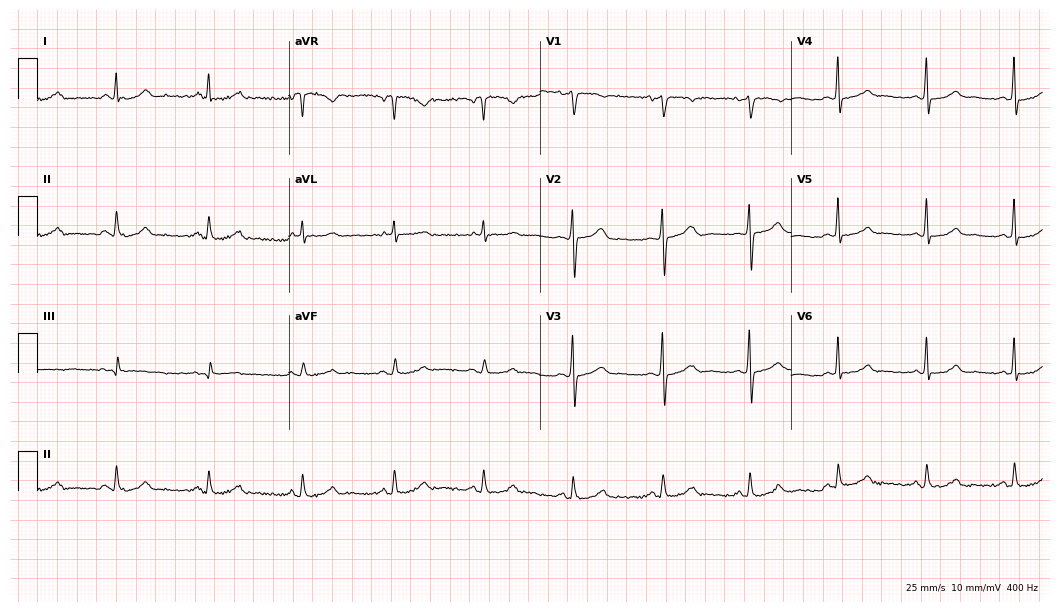
Standard 12-lead ECG recorded from a female patient, 50 years old. Read as a normal ECG.